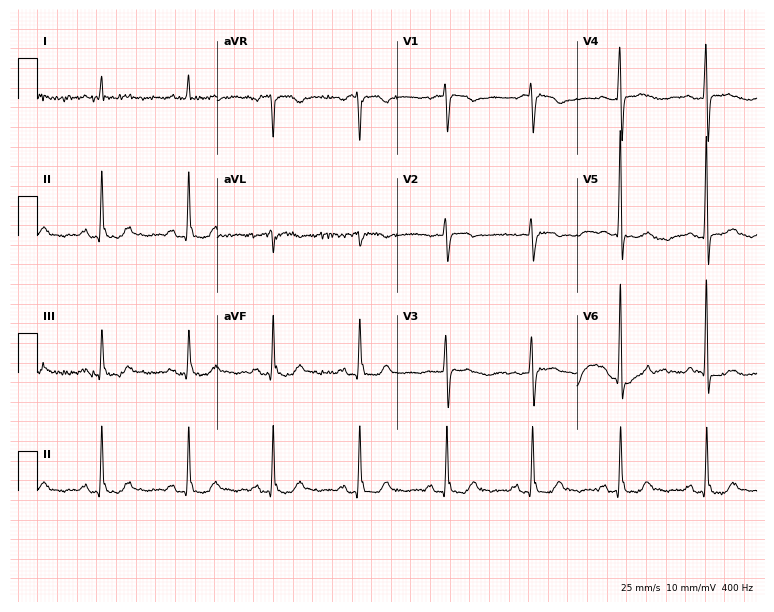
Standard 12-lead ECG recorded from a 73-year-old female (7.3-second recording at 400 Hz). None of these six findings is recorded: first-degree AV block, right bundle branch block, left bundle branch block, sinus bradycardia, atrial fibrillation, sinus tachycardia. Only these six findings were labelled.